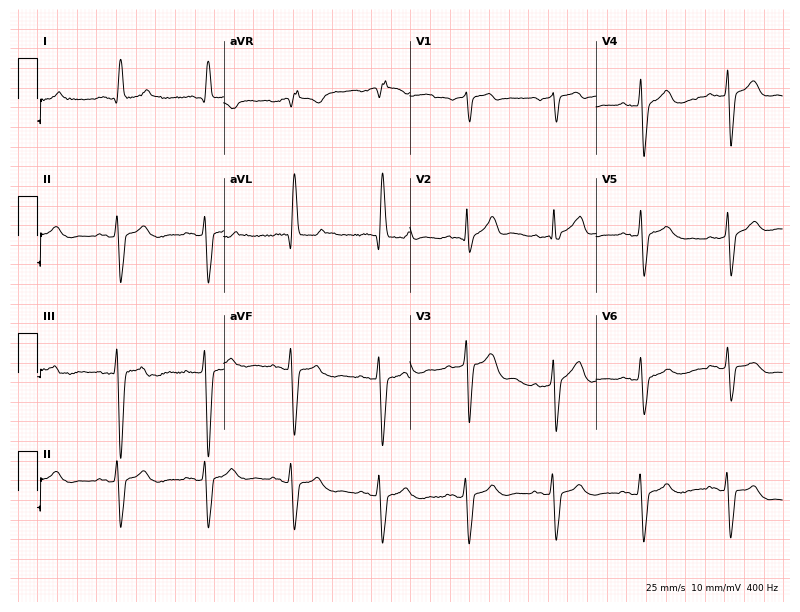
12-lead ECG from a 79-year-old male. Screened for six findings — first-degree AV block, right bundle branch block, left bundle branch block, sinus bradycardia, atrial fibrillation, sinus tachycardia — none is recorded. Other findings, if any, are not listed.